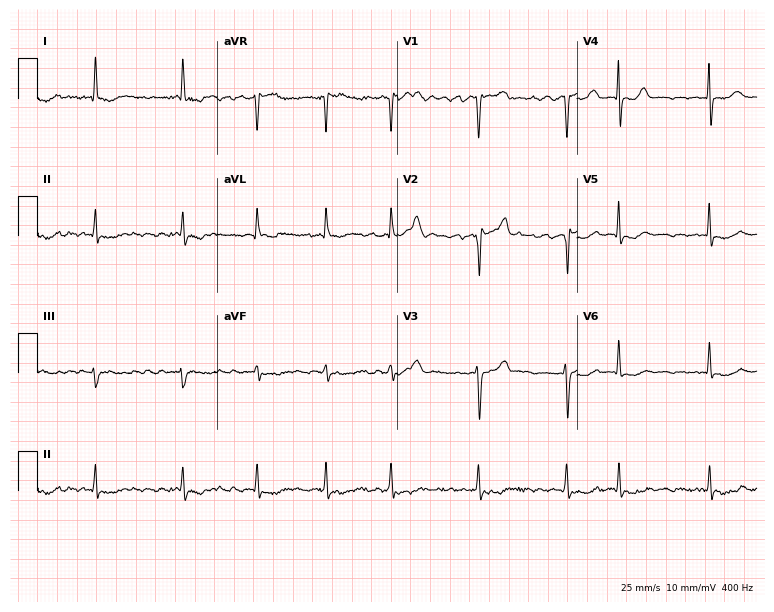
12-lead ECG (7.3-second recording at 400 Hz) from a 54-year-old female patient. Findings include atrial fibrillation (AF).